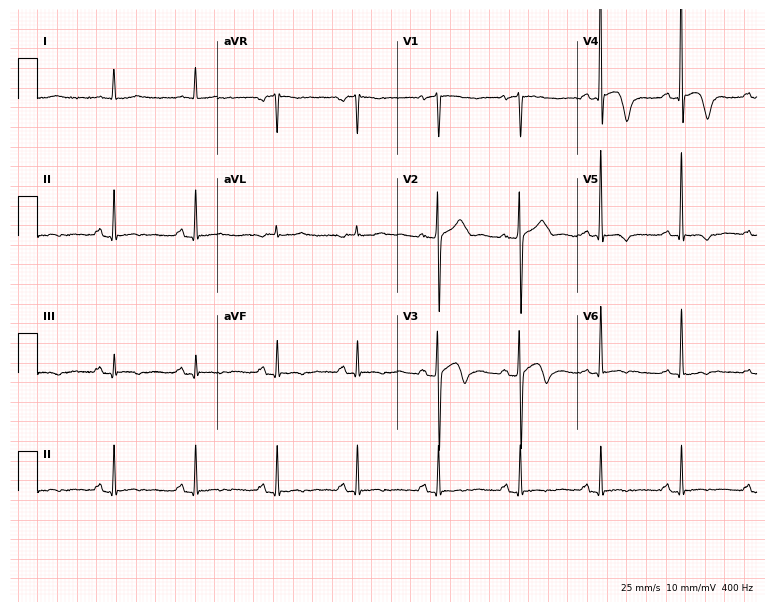
12-lead ECG from a female, 72 years old. No first-degree AV block, right bundle branch block (RBBB), left bundle branch block (LBBB), sinus bradycardia, atrial fibrillation (AF) or sinus tachycardia recorded for this tracing.